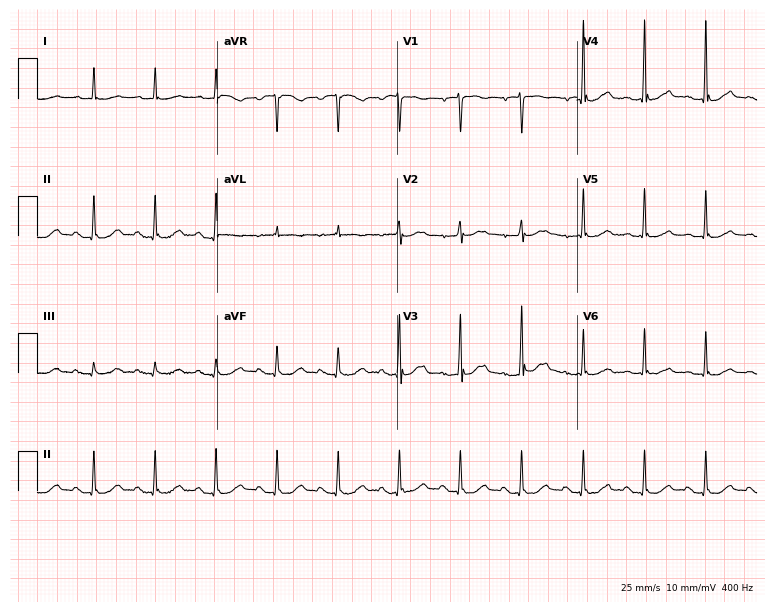
Electrocardiogram, a female patient, 75 years old. Of the six screened findings (first-degree AV block, right bundle branch block (RBBB), left bundle branch block (LBBB), sinus bradycardia, atrial fibrillation (AF), sinus tachycardia), none is recorded. Findings outside these six are not listed.